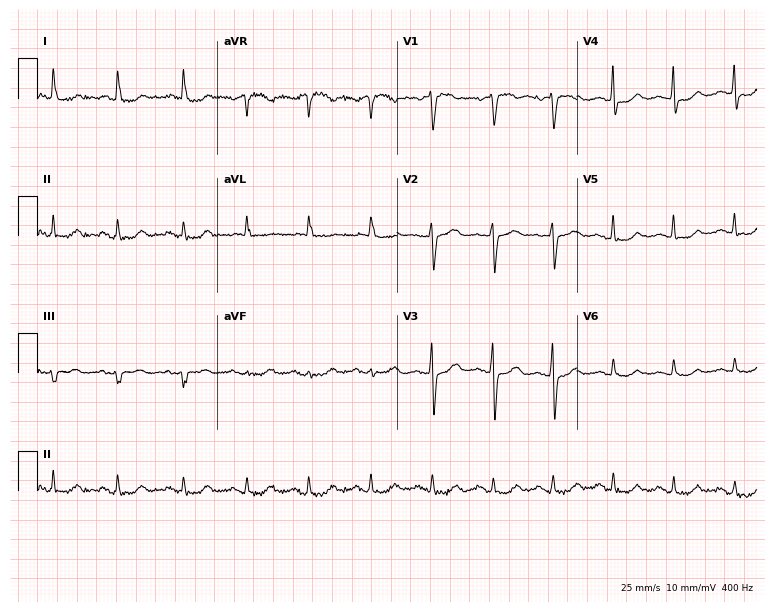
12-lead ECG from a 76-year-old woman. Labelled as a normal ECG.